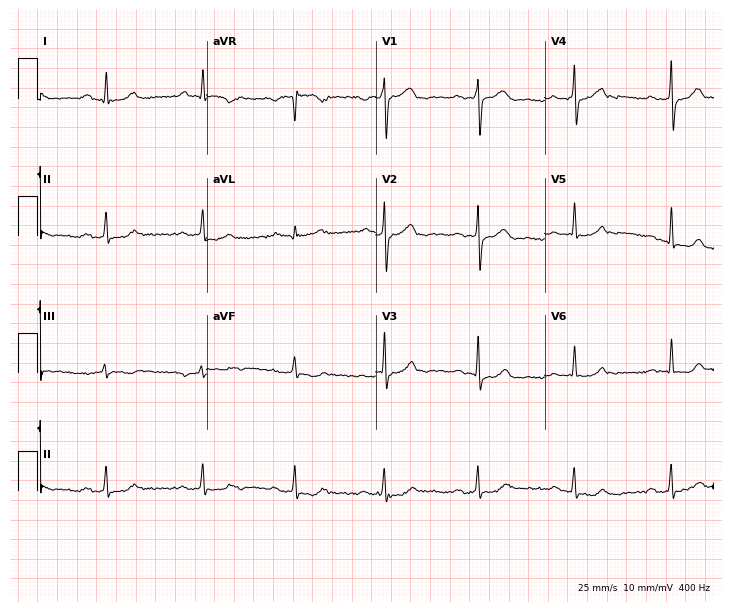
Standard 12-lead ECG recorded from a 39-year-old male patient. The tracing shows first-degree AV block.